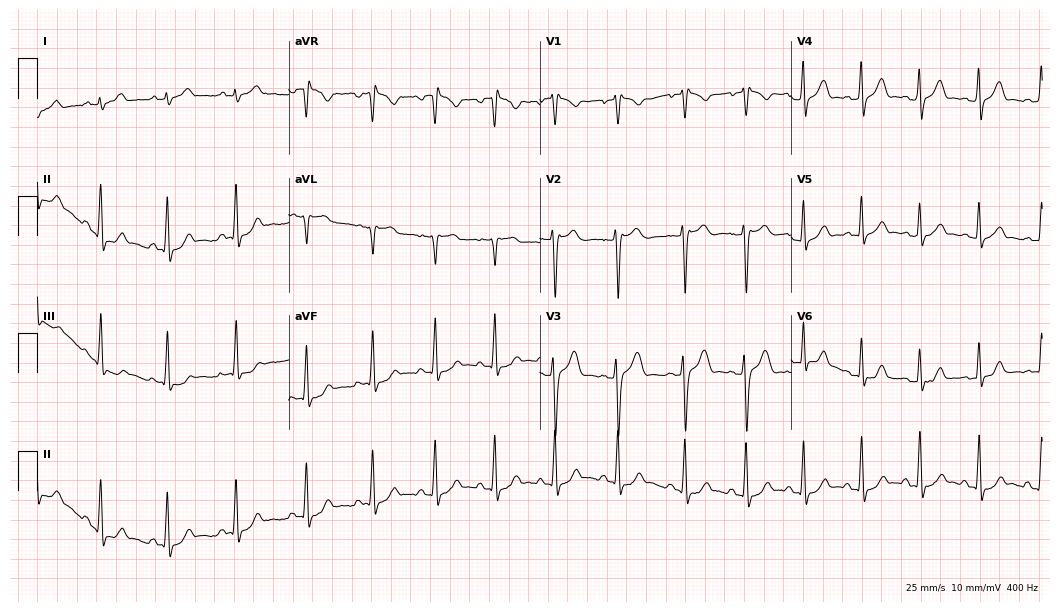
Electrocardiogram (10.2-second recording at 400 Hz), a 20-year-old man. Overall reading on record: normal ECG.